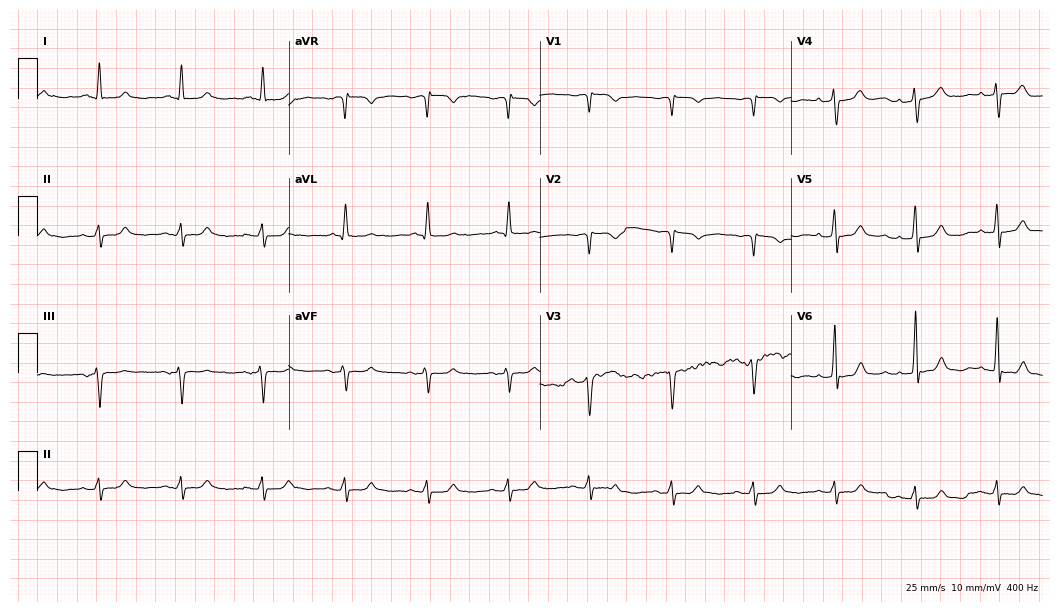
ECG — a 64-year-old male patient. Screened for six findings — first-degree AV block, right bundle branch block (RBBB), left bundle branch block (LBBB), sinus bradycardia, atrial fibrillation (AF), sinus tachycardia — none is recorded.